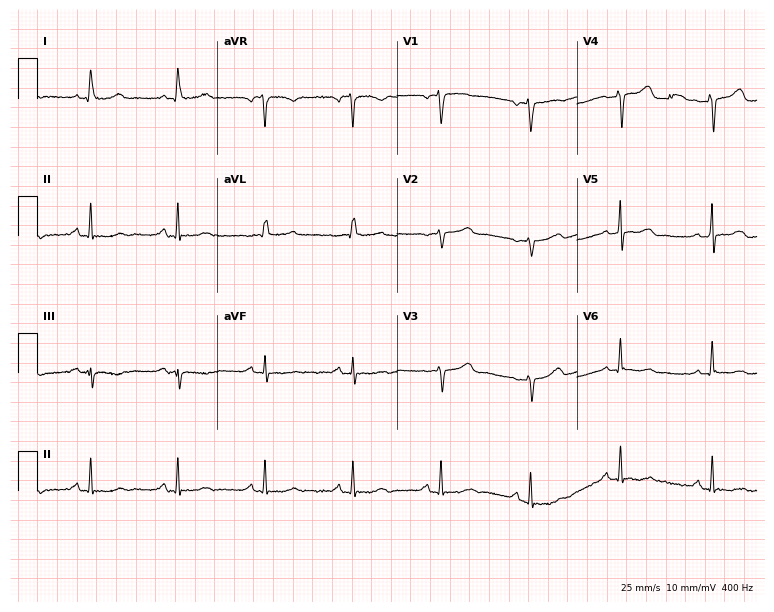
Resting 12-lead electrocardiogram (7.3-second recording at 400 Hz). Patient: a 55-year-old female. None of these six findings is recorded: first-degree AV block, right bundle branch block (RBBB), left bundle branch block (LBBB), sinus bradycardia, atrial fibrillation (AF), sinus tachycardia. Only these six findings were labelled.